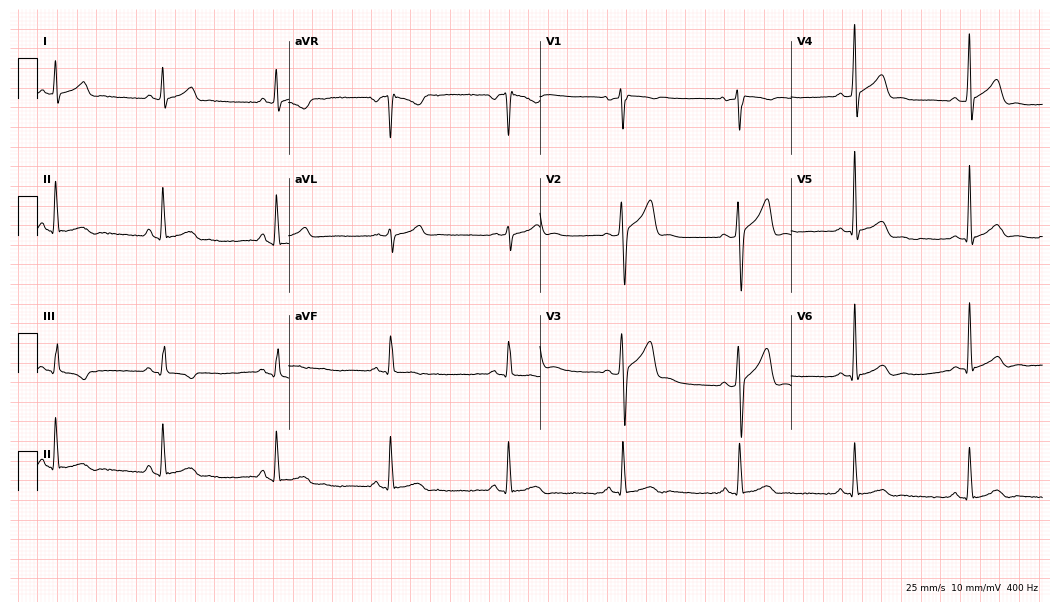
Resting 12-lead electrocardiogram. Patient: a man, 43 years old. Read as a normal ECG.